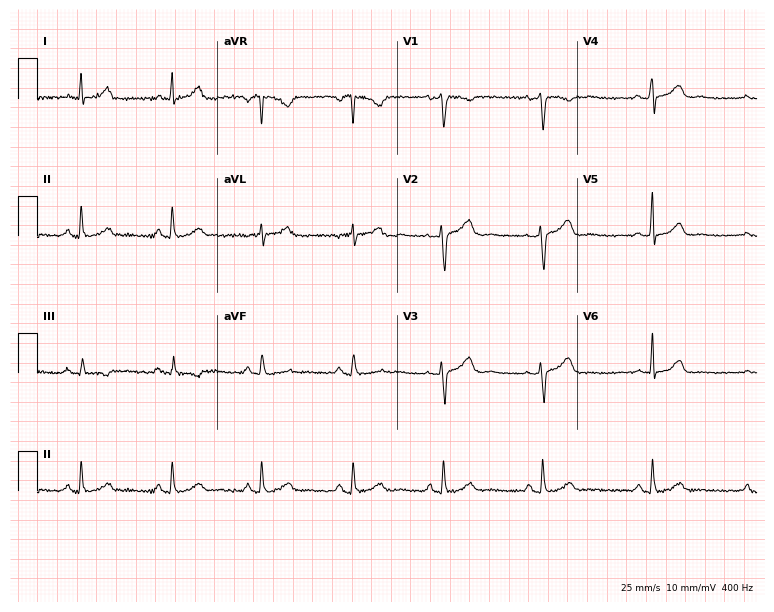
12-lead ECG from a 39-year-old female. Recorded interpretation: within normal limits.